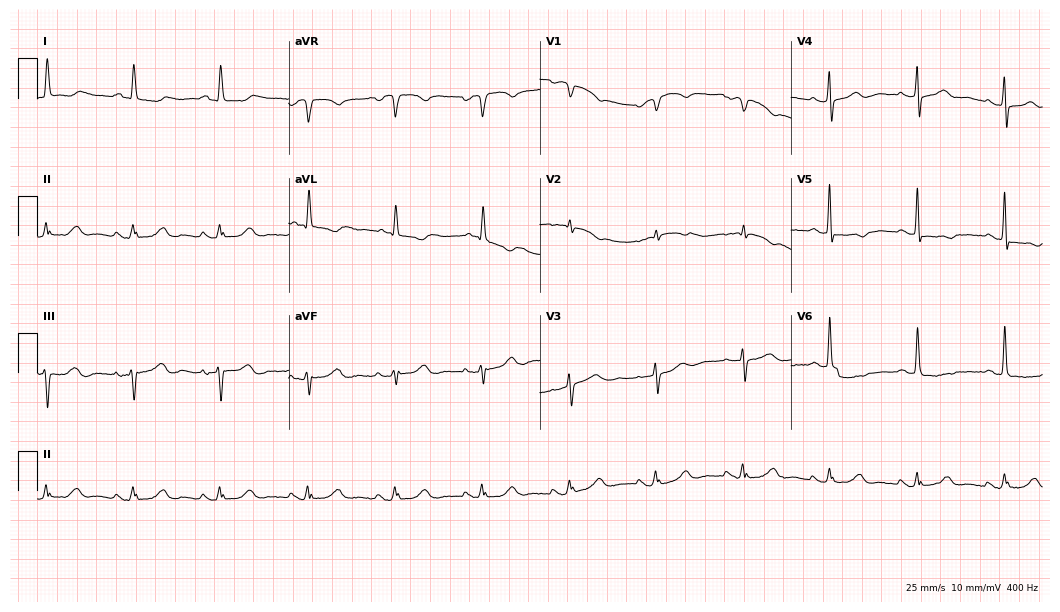
Standard 12-lead ECG recorded from a female, 74 years old (10.2-second recording at 400 Hz). None of these six findings is recorded: first-degree AV block, right bundle branch block, left bundle branch block, sinus bradycardia, atrial fibrillation, sinus tachycardia.